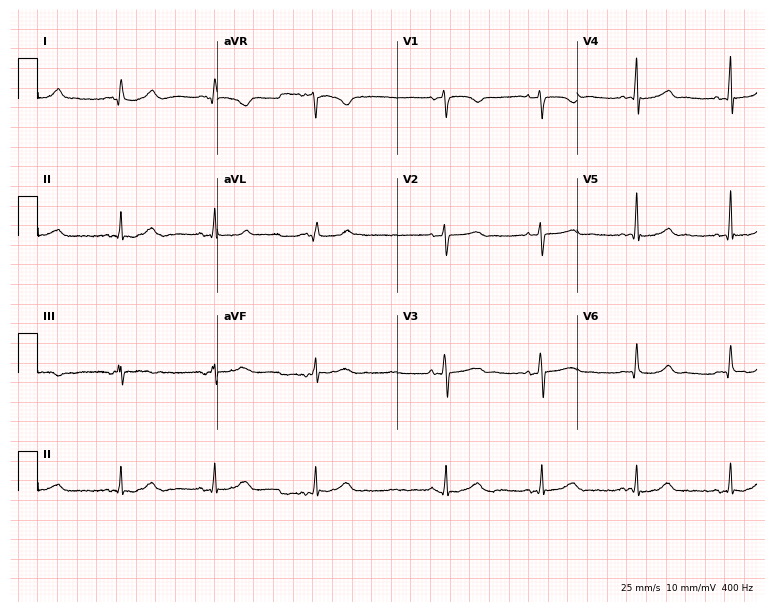
Electrocardiogram, a 67-year-old female patient. Of the six screened findings (first-degree AV block, right bundle branch block (RBBB), left bundle branch block (LBBB), sinus bradycardia, atrial fibrillation (AF), sinus tachycardia), none is recorded.